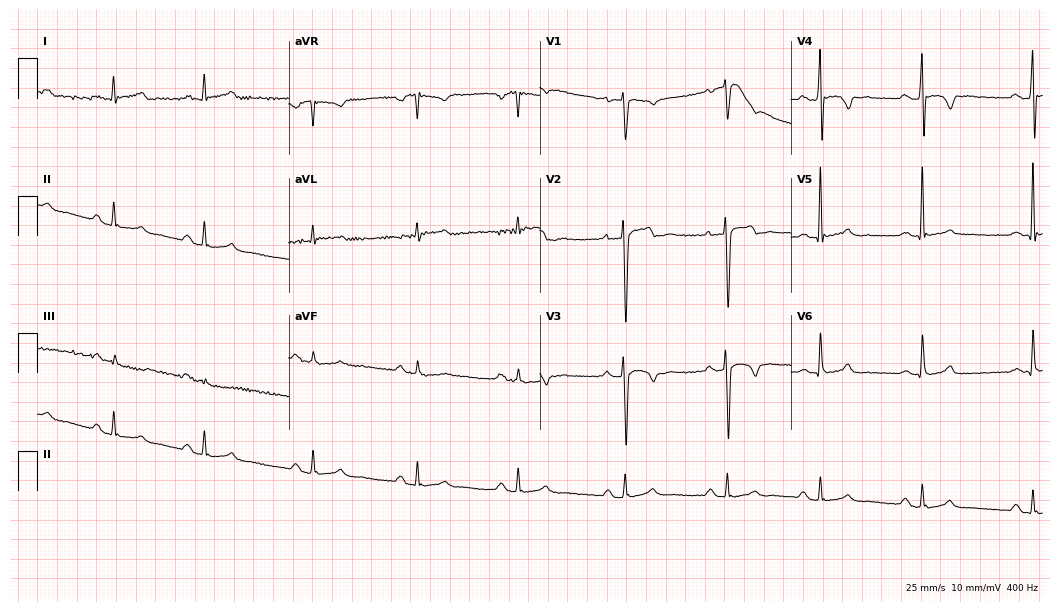
Resting 12-lead electrocardiogram (10.2-second recording at 400 Hz). Patient: a 33-year-old male. Read as a normal ECG.